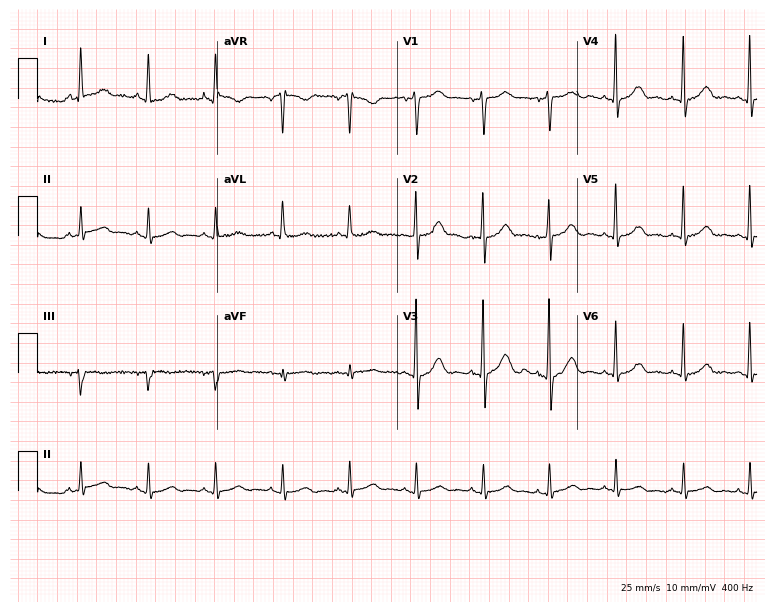
12-lead ECG from a 64-year-old female patient. Labelled as a normal ECG.